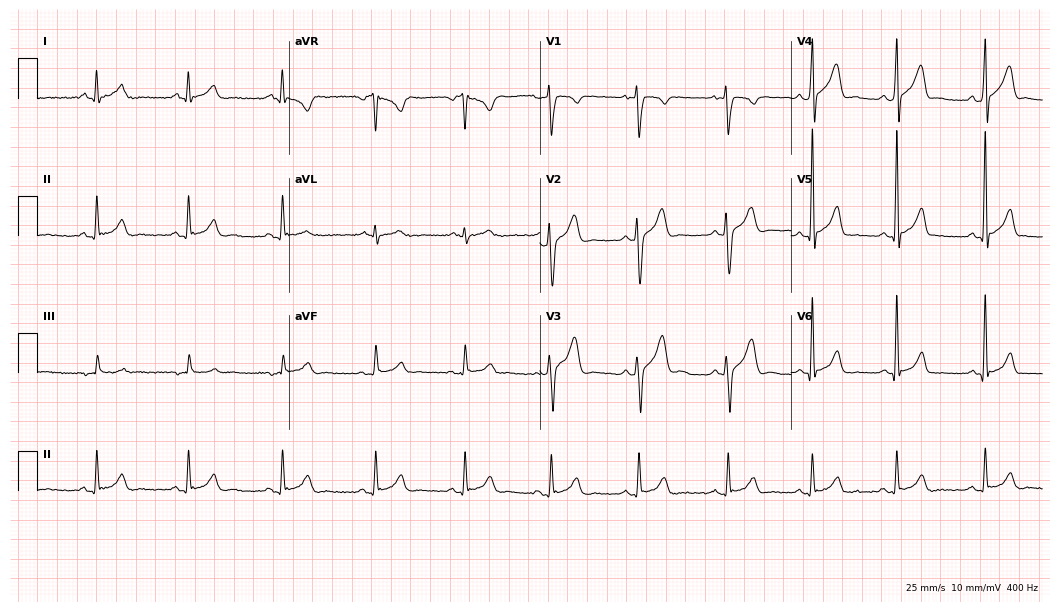
12-lead ECG from a 29-year-old male patient (10.2-second recording at 400 Hz). No first-degree AV block, right bundle branch block, left bundle branch block, sinus bradycardia, atrial fibrillation or sinus tachycardia recorded for this tracing.